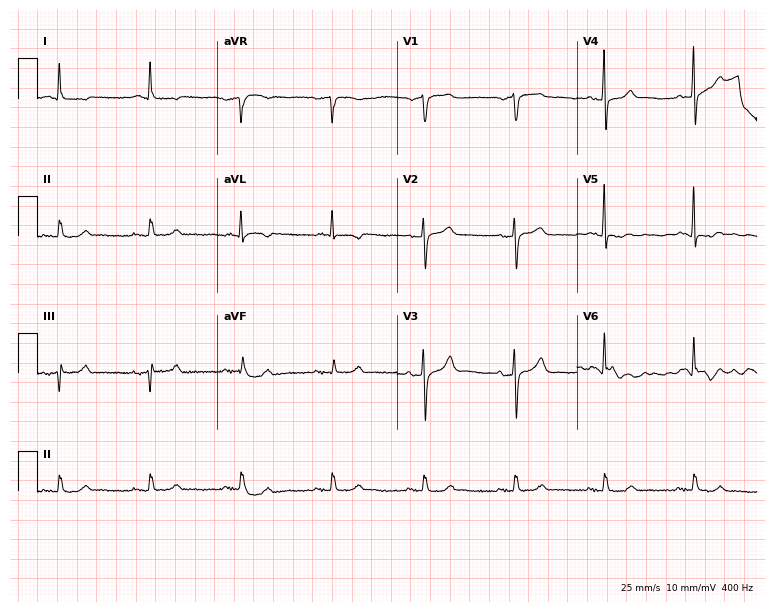
12-lead ECG from an 83-year-old male patient (7.3-second recording at 400 Hz). No first-degree AV block, right bundle branch block (RBBB), left bundle branch block (LBBB), sinus bradycardia, atrial fibrillation (AF) or sinus tachycardia recorded for this tracing. Findings outside these six are not listed.